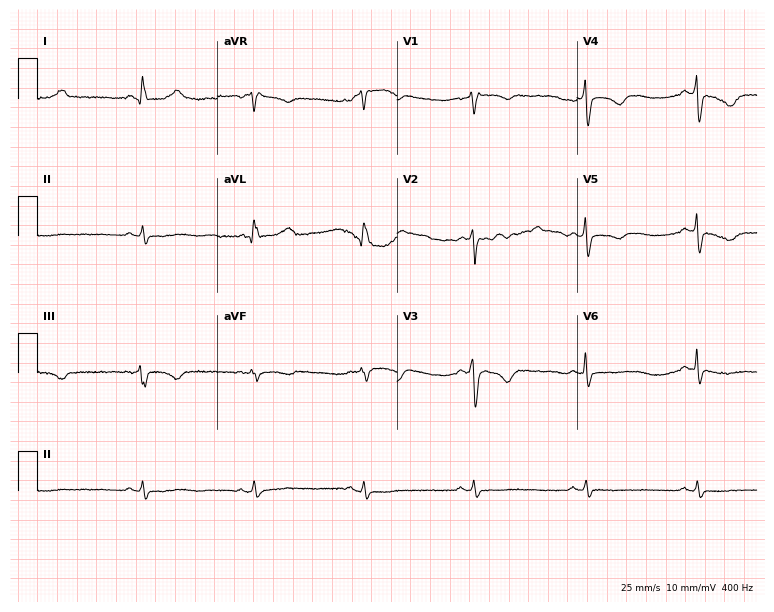
Electrocardiogram (7.3-second recording at 400 Hz), a 45-year-old female patient. Of the six screened findings (first-degree AV block, right bundle branch block (RBBB), left bundle branch block (LBBB), sinus bradycardia, atrial fibrillation (AF), sinus tachycardia), none is recorded.